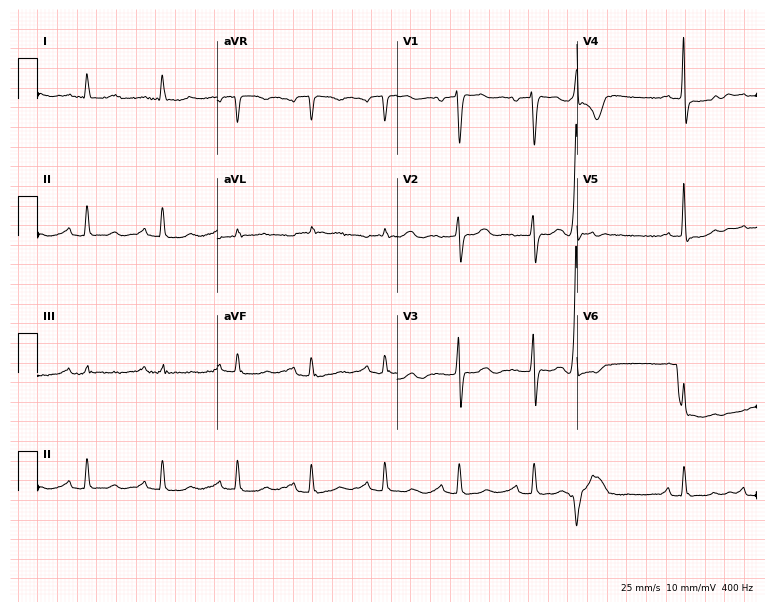
Resting 12-lead electrocardiogram. Patient: a female, 79 years old. None of these six findings is recorded: first-degree AV block, right bundle branch block (RBBB), left bundle branch block (LBBB), sinus bradycardia, atrial fibrillation (AF), sinus tachycardia.